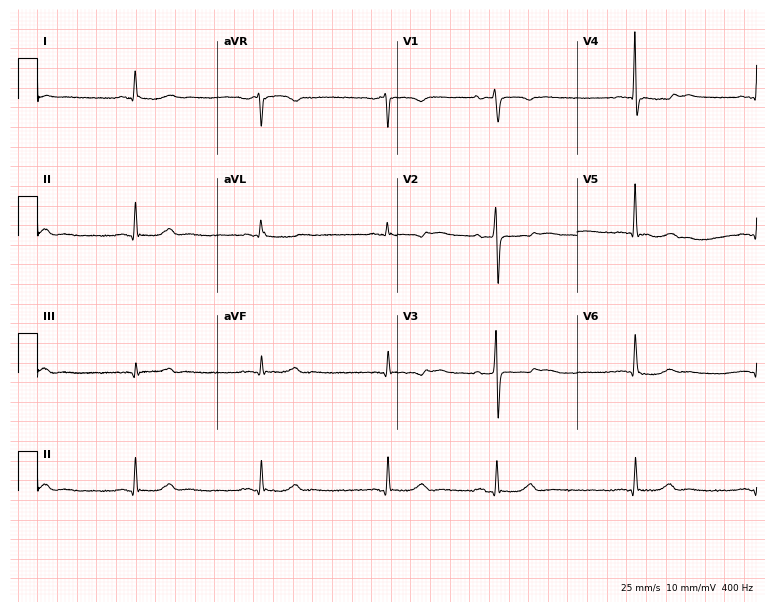
Standard 12-lead ECG recorded from a 69-year-old female (7.3-second recording at 400 Hz). The tracing shows sinus bradycardia (a sinus rate of 50 beats per minute or less).